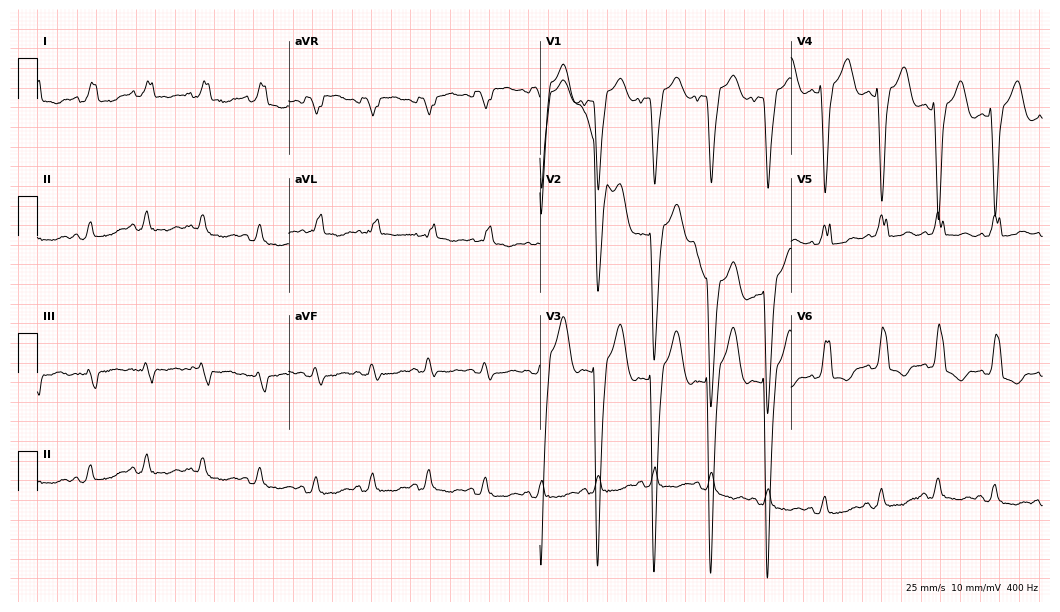
12-lead ECG from a 68-year-old female. Findings include left bundle branch block, sinus tachycardia (a sinus rate of 100 beats per minute or more).